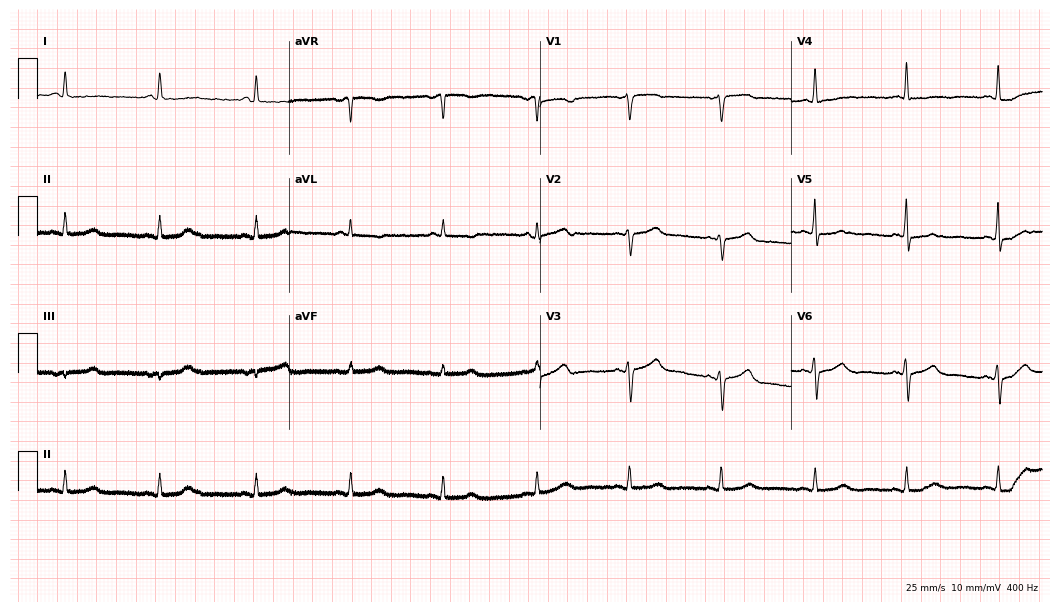
Resting 12-lead electrocardiogram (10.2-second recording at 400 Hz). Patient: a 64-year-old female. None of these six findings is recorded: first-degree AV block, right bundle branch block, left bundle branch block, sinus bradycardia, atrial fibrillation, sinus tachycardia.